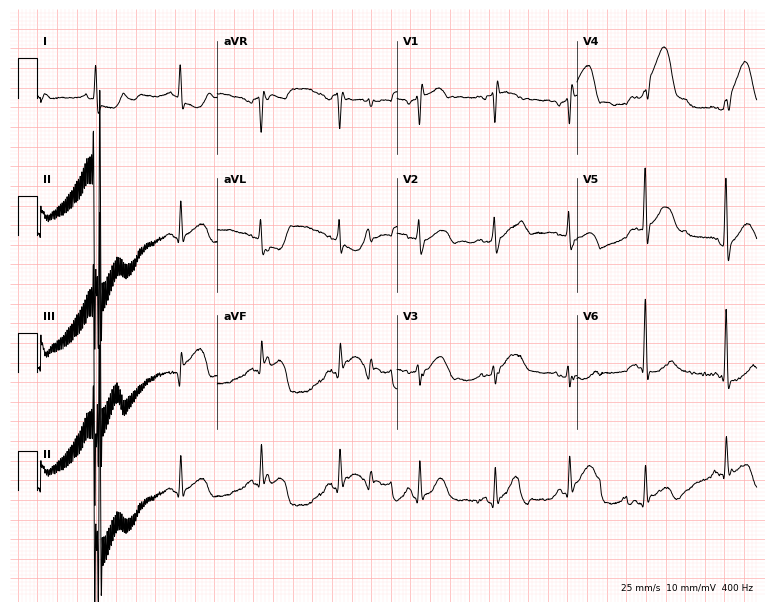
Electrocardiogram, a 51-year-old male patient. Of the six screened findings (first-degree AV block, right bundle branch block (RBBB), left bundle branch block (LBBB), sinus bradycardia, atrial fibrillation (AF), sinus tachycardia), none is recorded. Findings outside these six are not listed.